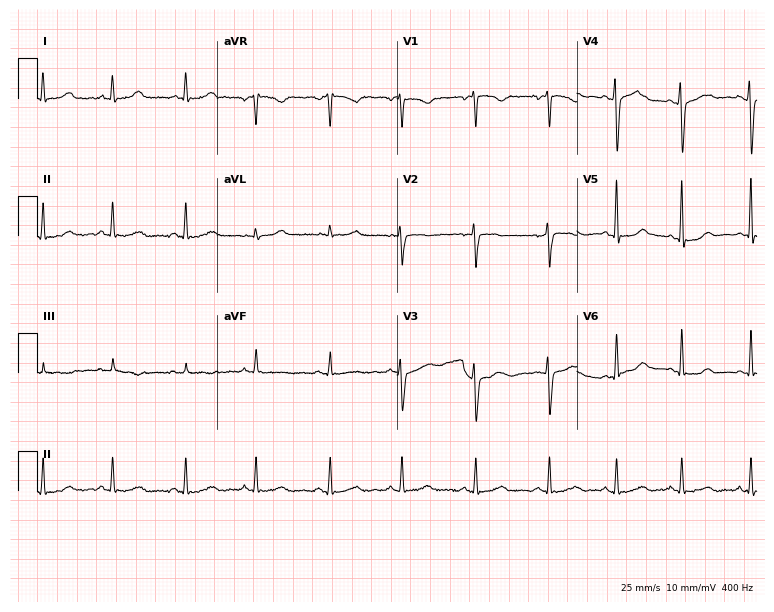
Electrocardiogram (7.3-second recording at 400 Hz), a female patient, 17 years old. Of the six screened findings (first-degree AV block, right bundle branch block (RBBB), left bundle branch block (LBBB), sinus bradycardia, atrial fibrillation (AF), sinus tachycardia), none is recorded. Only these six findings were labelled.